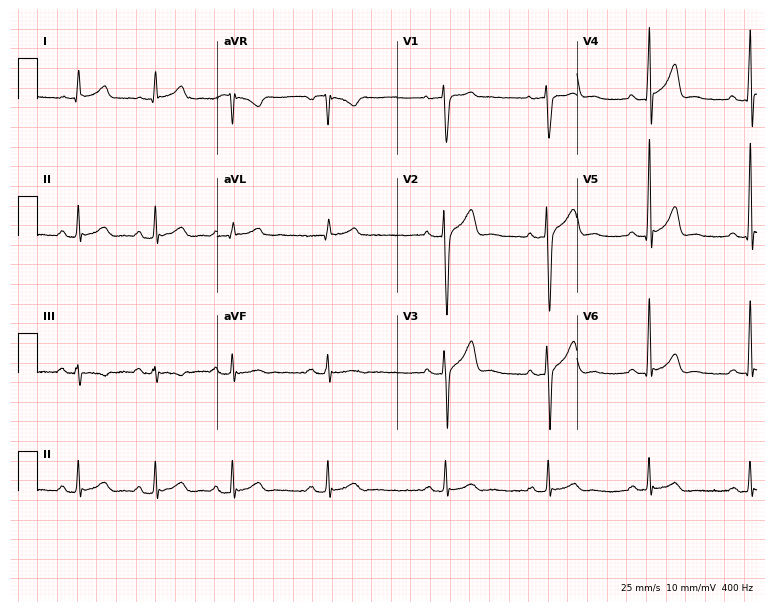
ECG (7.3-second recording at 400 Hz) — a man, 45 years old. Labelled as a normal ECG.